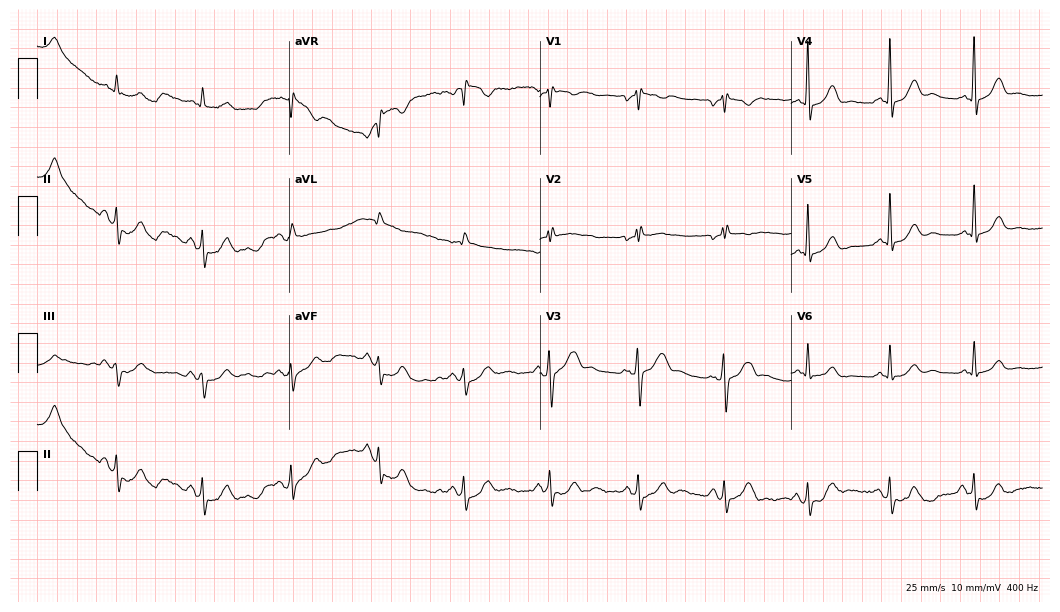
Resting 12-lead electrocardiogram. Patient: a man, 43 years old. None of these six findings is recorded: first-degree AV block, right bundle branch block (RBBB), left bundle branch block (LBBB), sinus bradycardia, atrial fibrillation (AF), sinus tachycardia. Other findings, if any, are not listed.